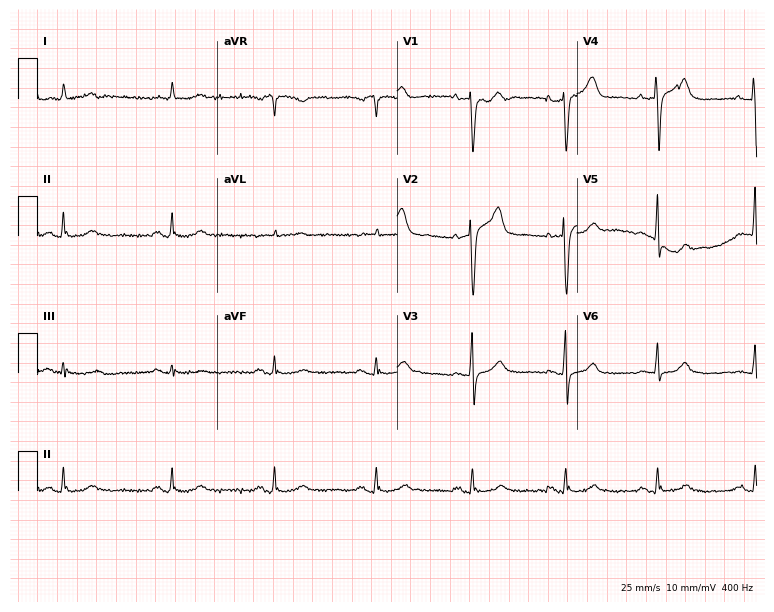
Resting 12-lead electrocardiogram (7.3-second recording at 400 Hz). Patient: a male, 85 years old. None of these six findings is recorded: first-degree AV block, right bundle branch block, left bundle branch block, sinus bradycardia, atrial fibrillation, sinus tachycardia.